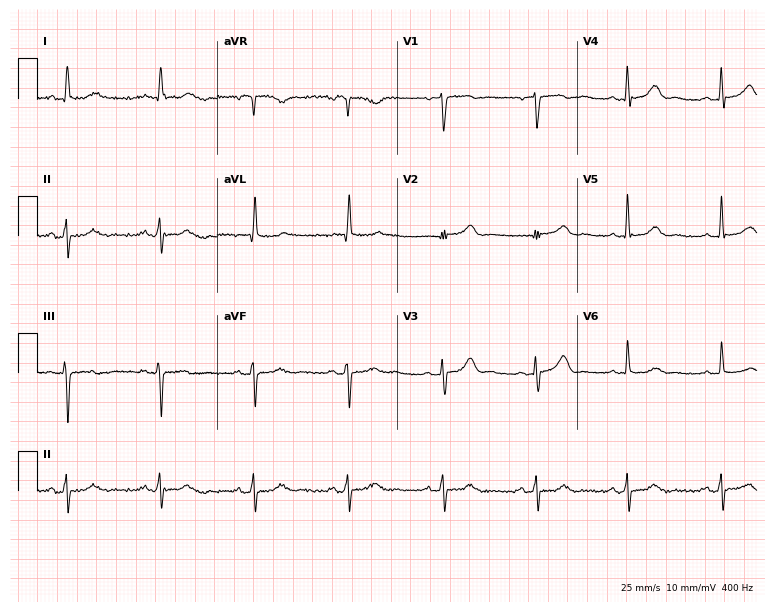
Electrocardiogram (7.3-second recording at 400 Hz), a woman, 73 years old. Of the six screened findings (first-degree AV block, right bundle branch block (RBBB), left bundle branch block (LBBB), sinus bradycardia, atrial fibrillation (AF), sinus tachycardia), none is recorded.